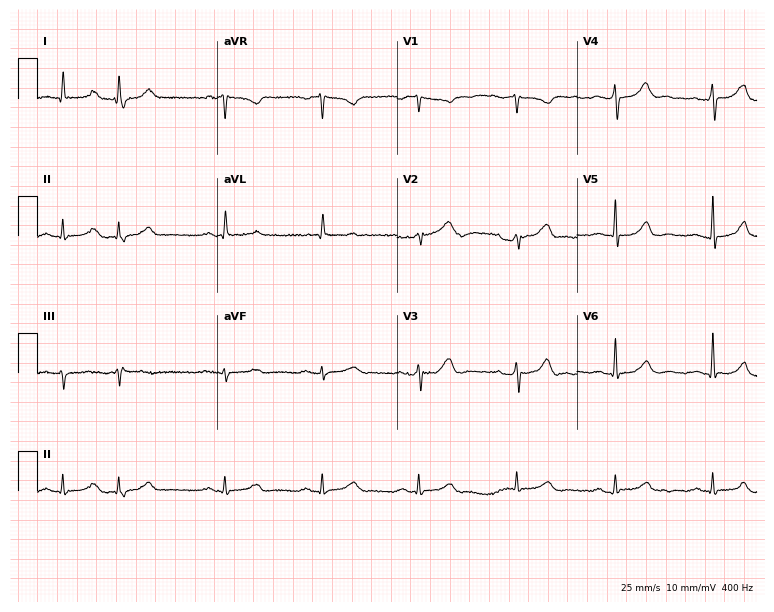
Standard 12-lead ECG recorded from an 80-year-old male patient. None of these six findings is recorded: first-degree AV block, right bundle branch block, left bundle branch block, sinus bradycardia, atrial fibrillation, sinus tachycardia. Other findings, if any, are not listed.